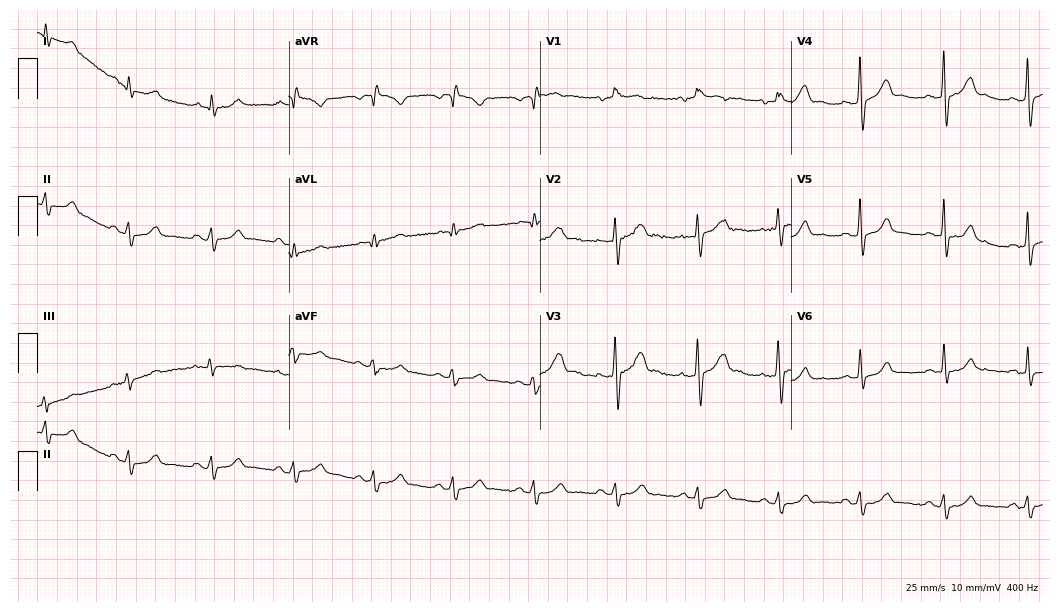
Resting 12-lead electrocardiogram (10.2-second recording at 400 Hz). Patient: a male, 57 years old. Read as a normal ECG.